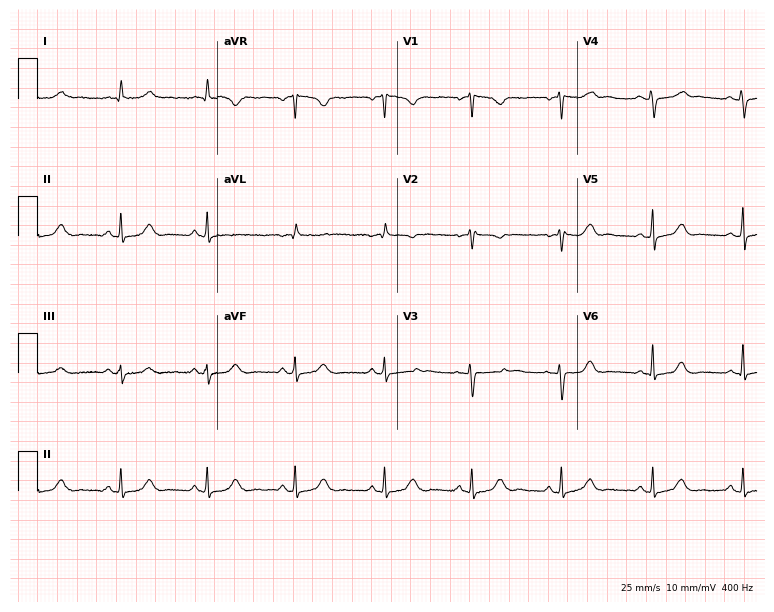
12-lead ECG from a 45-year-old woman. Screened for six findings — first-degree AV block, right bundle branch block (RBBB), left bundle branch block (LBBB), sinus bradycardia, atrial fibrillation (AF), sinus tachycardia — none is recorded.